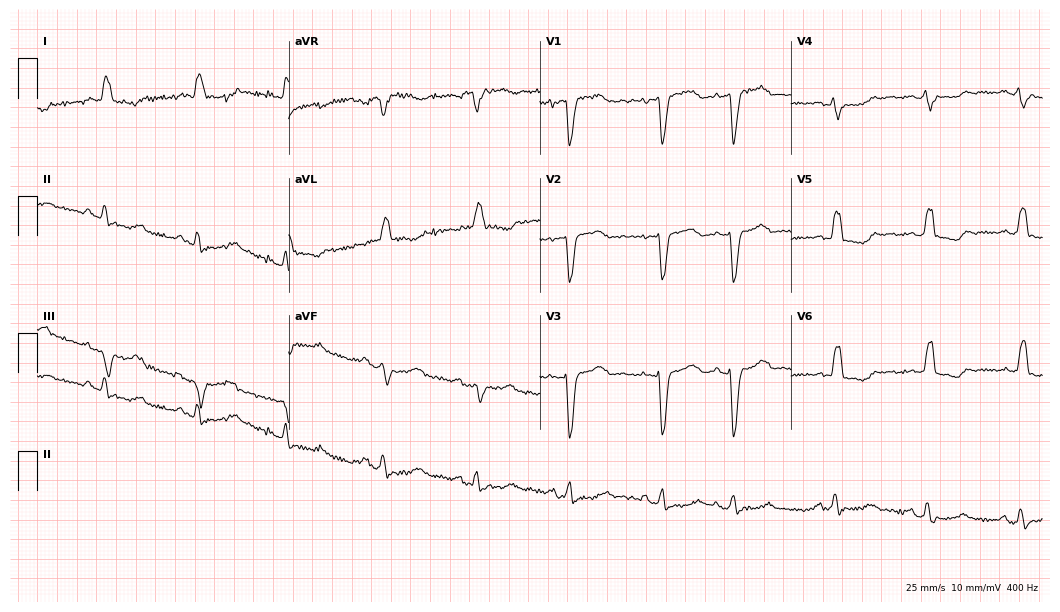
Resting 12-lead electrocardiogram (10.2-second recording at 400 Hz). Patient: a 73-year-old woman. None of these six findings is recorded: first-degree AV block, right bundle branch block, left bundle branch block, sinus bradycardia, atrial fibrillation, sinus tachycardia. Only these six findings were labelled.